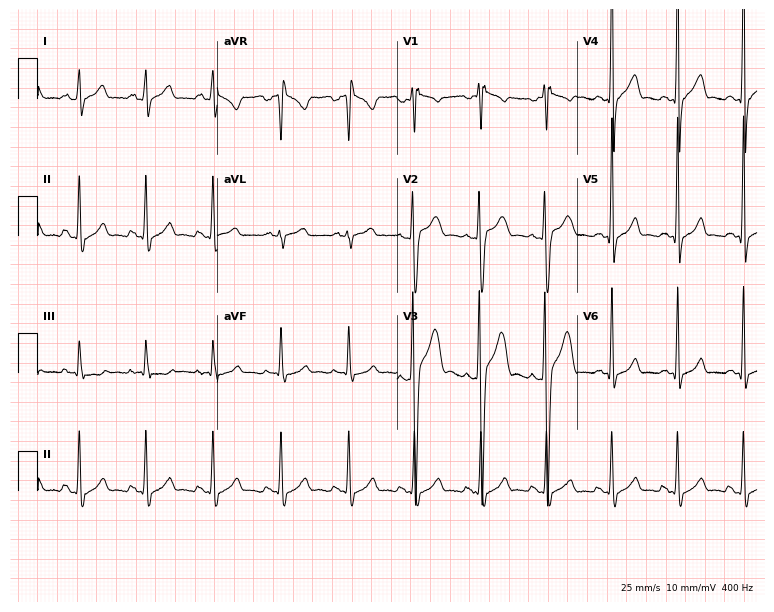
Resting 12-lead electrocardiogram. Patient: a man, 26 years old. None of these six findings is recorded: first-degree AV block, right bundle branch block, left bundle branch block, sinus bradycardia, atrial fibrillation, sinus tachycardia. Other findings, if any, are not listed.